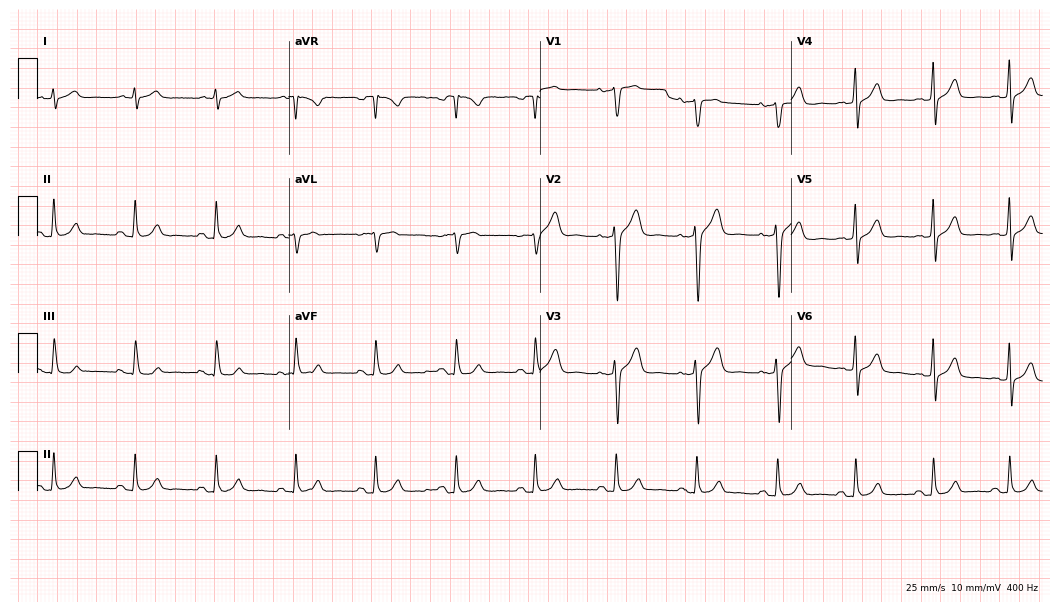
12-lead ECG (10.2-second recording at 400 Hz) from a 63-year-old male patient. Labelled as a normal ECG.